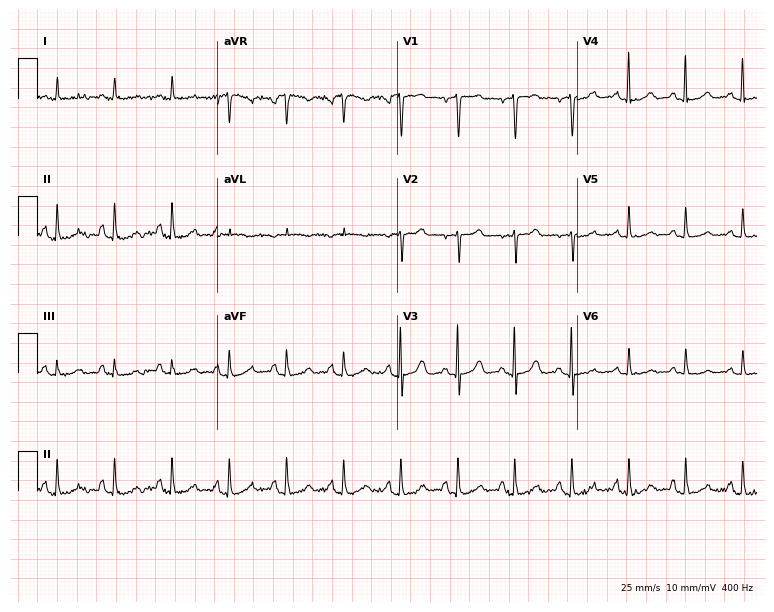
ECG — a woman, 75 years old. Findings include sinus tachycardia (a sinus rate of 100 beats per minute or more).